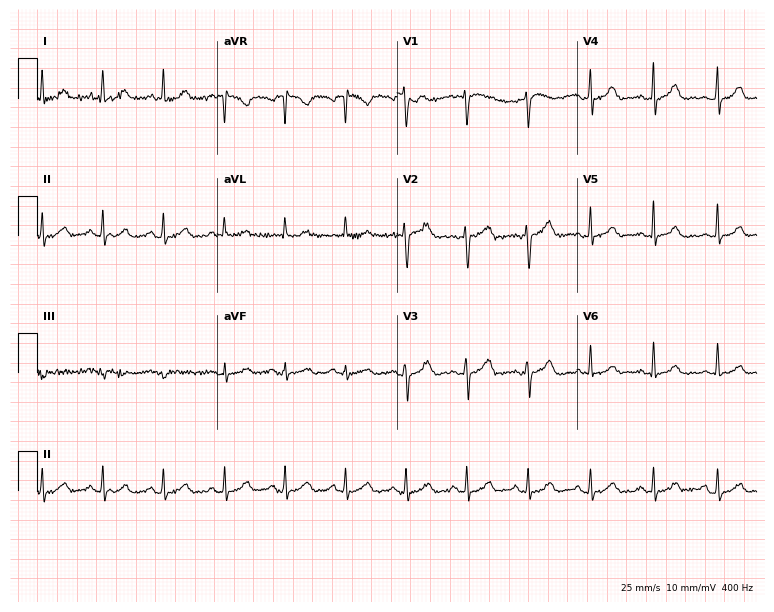
12-lead ECG from a 39-year-old woman. Labelled as a normal ECG.